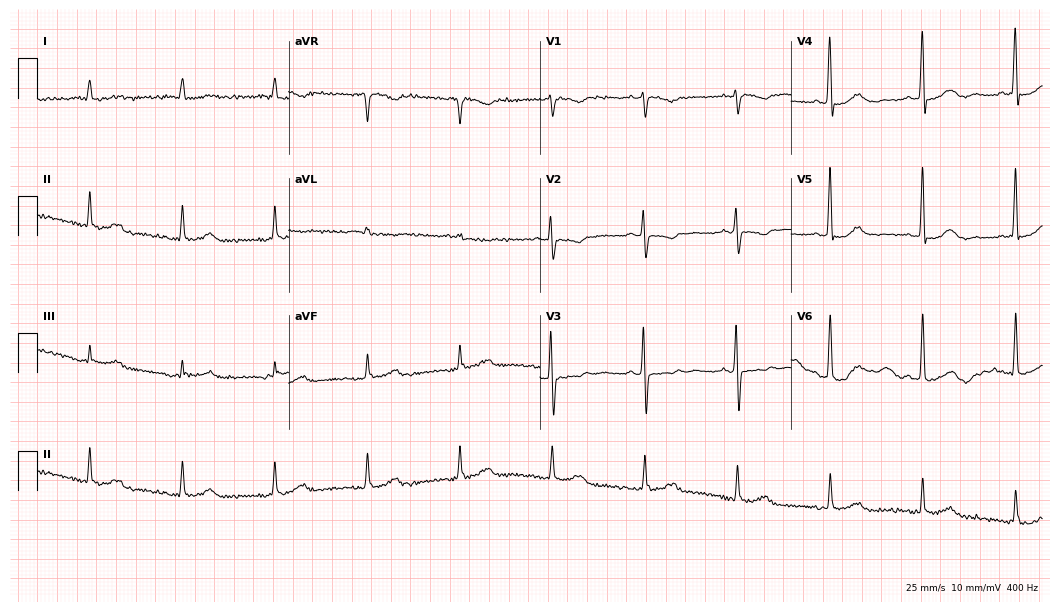
Standard 12-lead ECG recorded from a 54-year-old female. Read as a normal ECG.